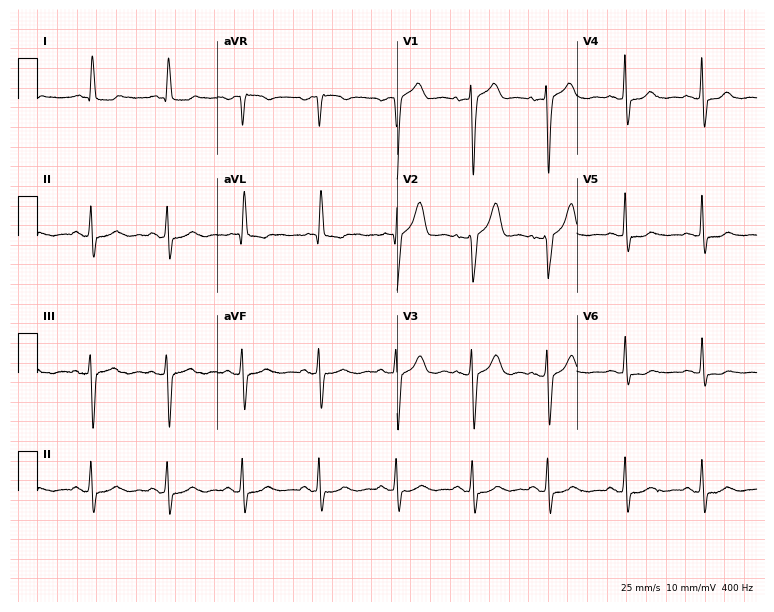
ECG — a female, 61 years old. Screened for six findings — first-degree AV block, right bundle branch block (RBBB), left bundle branch block (LBBB), sinus bradycardia, atrial fibrillation (AF), sinus tachycardia — none is recorded.